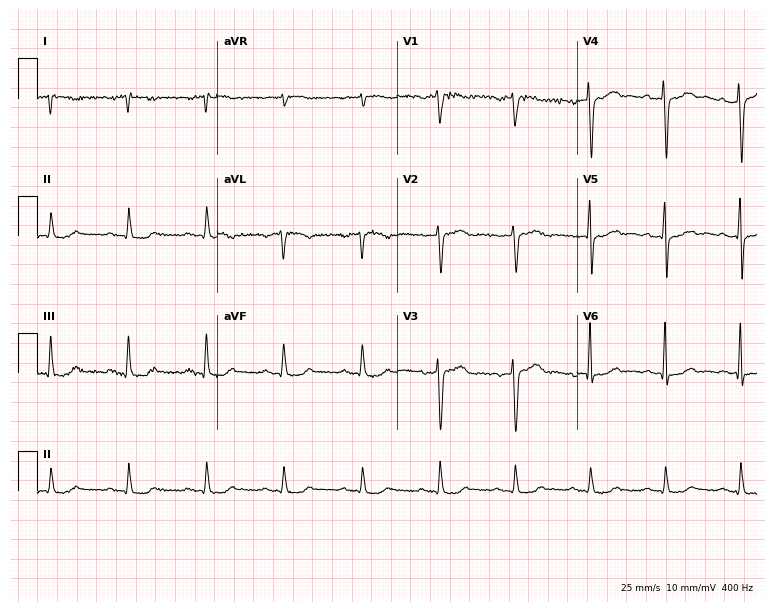
Electrocardiogram (7.3-second recording at 400 Hz), a male, 67 years old. Of the six screened findings (first-degree AV block, right bundle branch block (RBBB), left bundle branch block (LBBB), sinus bradycardia, atrial fibrillation (AF), sinus tachycardia), none is recorded.